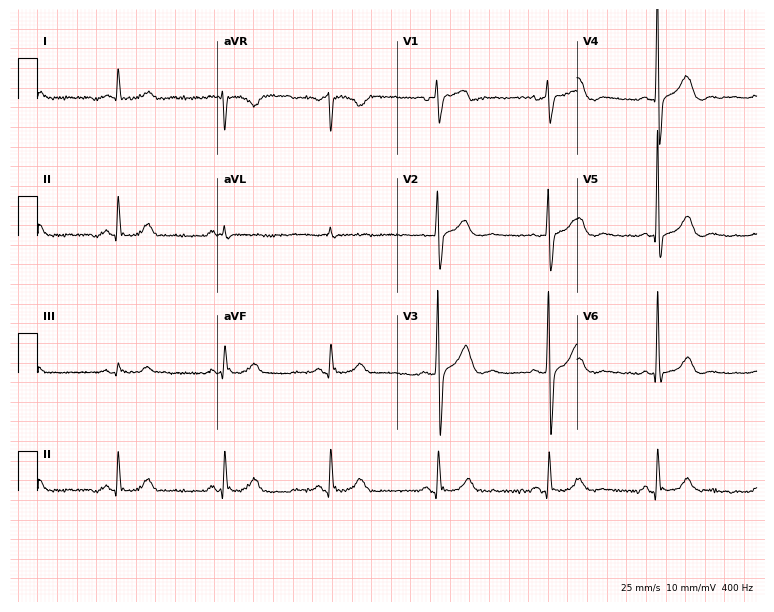
Standard 12-lead ECG recorded from a 65-year-old male patient (7.3-second recording at 400 Hz). Read as a normal ECG.